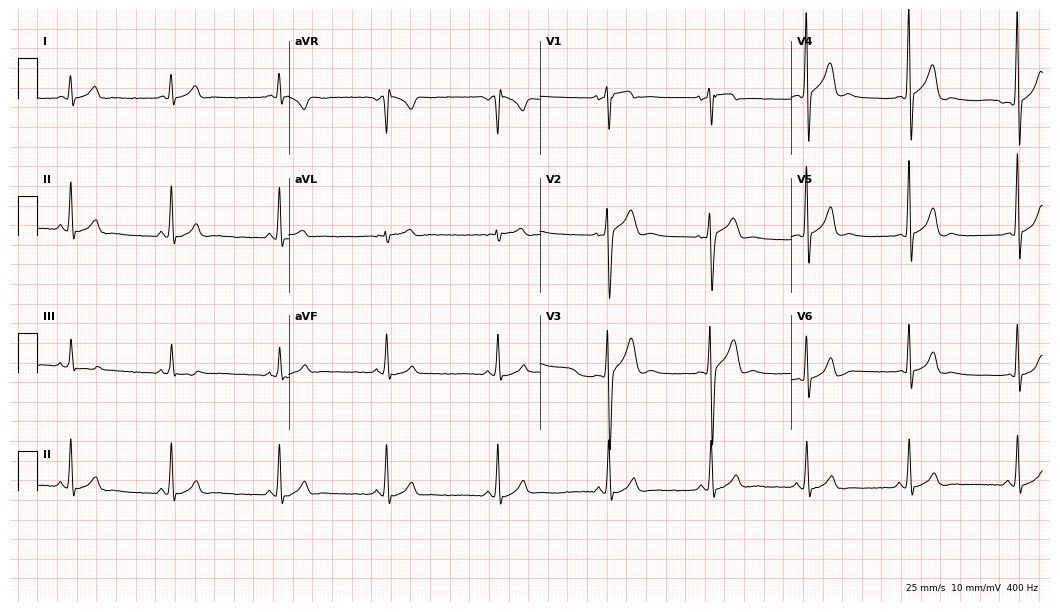
Electrocardiogram (10.2-second recording at 400 Hz), a male patient, 19 years old. Of the six screened findings (first-degree AV block, right bundle branch block (RBBB), left bundle branch block (LBBB), sinus bradycardia, atrial fibrillation (AF), sinus tachycardia), none is recorded. Only these six findings were labelled.